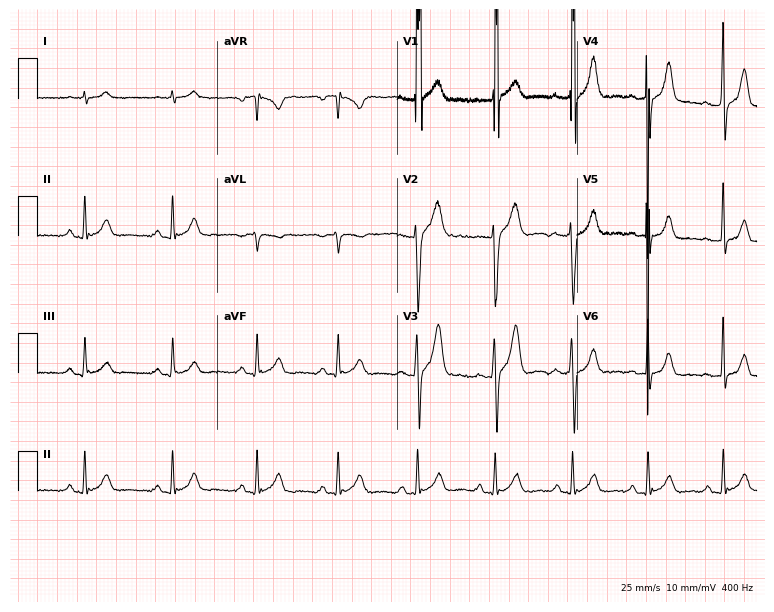
Resting 12-lead electrocardiogram. Patient: a male, 22 years old. Read as a normal ECG.